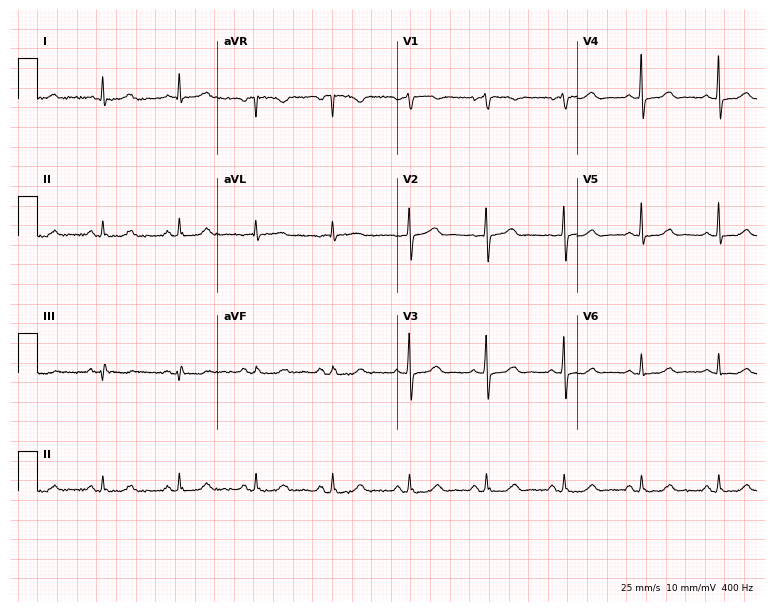
Standard 12-lead ECG recorded from a woman, 73 years old. Read as a normal ECG.